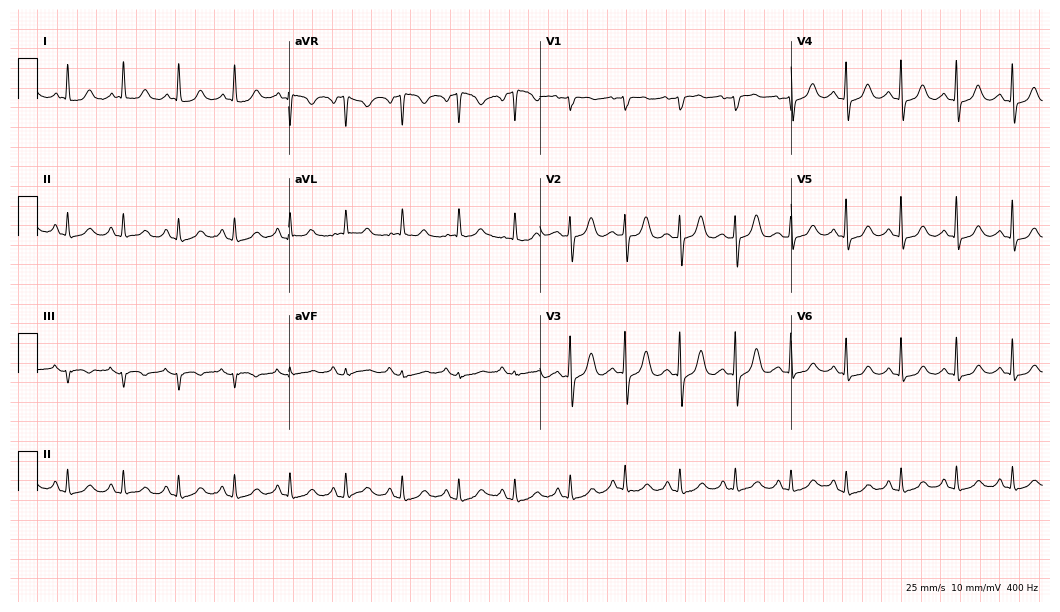
12-lead ECG from a 75-year-old woman. Shows sinus tachycardia (a sinus rate of 100 beats per minute or more).